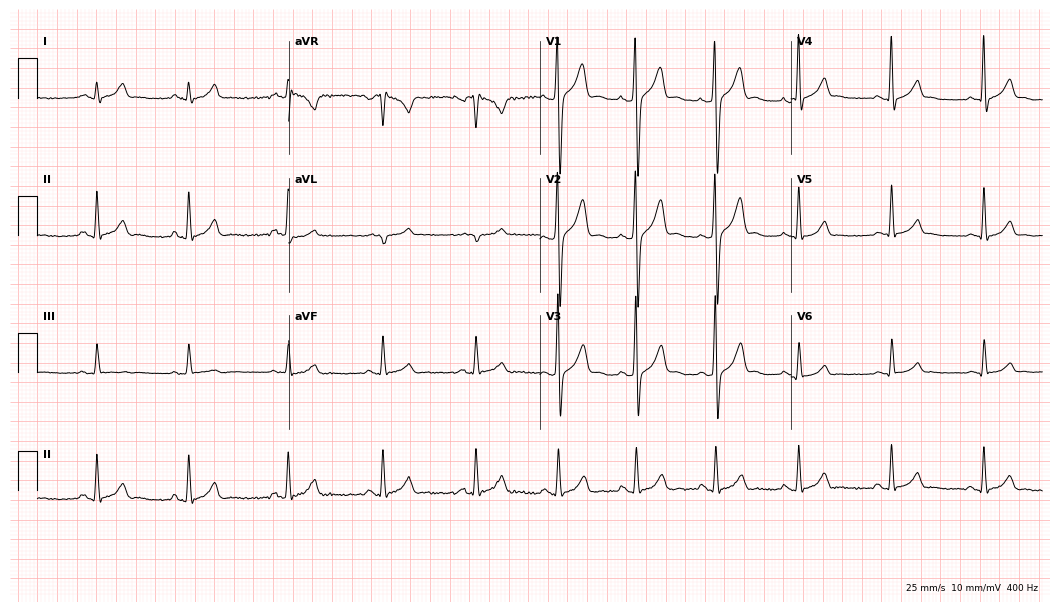
12-lead ECG from a 19-year-old man. No first-degree AV block, right bundle branch block, left bundle branch block, sinus bradycardia, atrial fibrillation or sinus tachycardia recorded for this tracing.